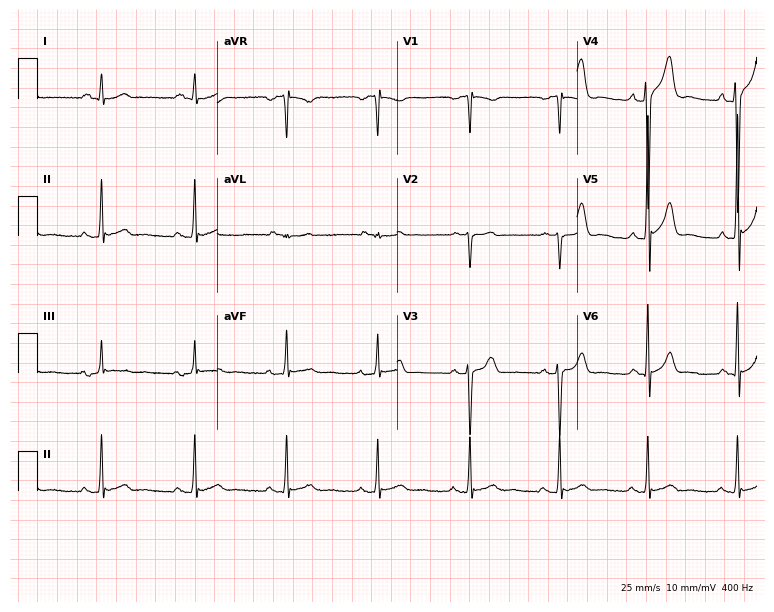
12-lead ECG (7.3-second recording at 400 Hz) from a male, 23 years old. Labelled as a normal ECG.